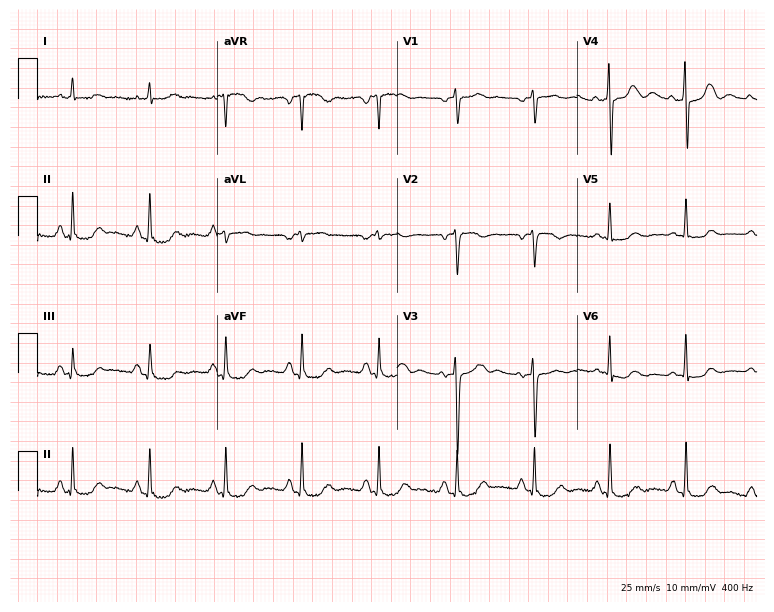
12-lead ECG from a female patient, 82 years old. No first-degree AV block, right bundle branch block, left bundle branch block, sinus bradycardia, atrial fibrillation or sinus tachycardia recorded for this tracing.